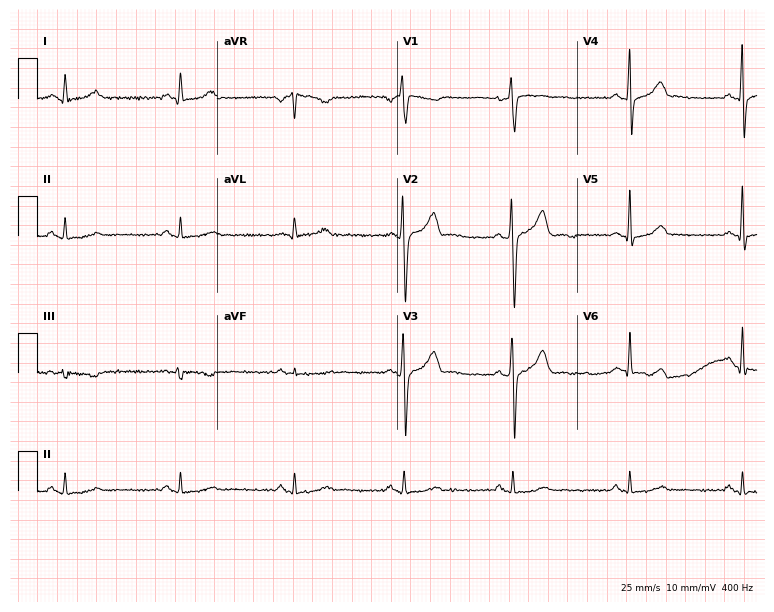
ECG (7.3-second recording at 400 Hz) — a 37-year-old male. Labelled as a normal ECG.